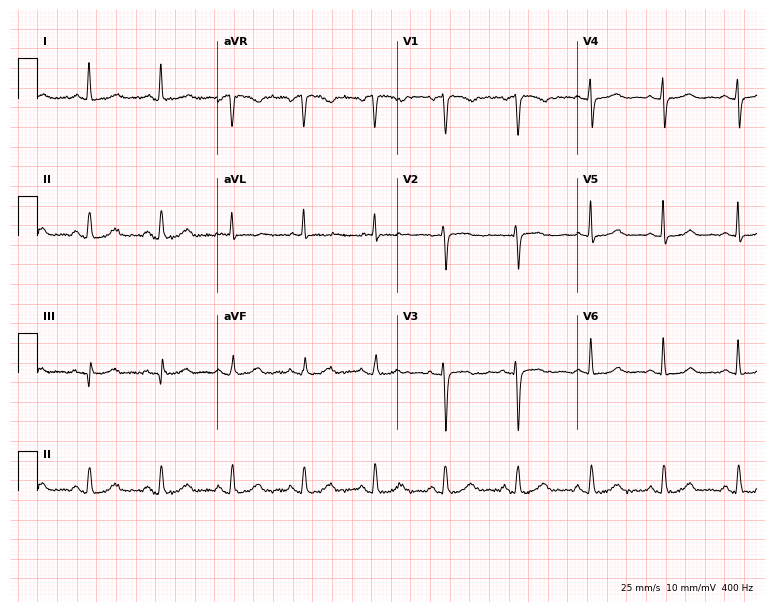
Resting 12-lead electrocardiogram. Patient: a female, 36 years old. Read as a normal ECG.